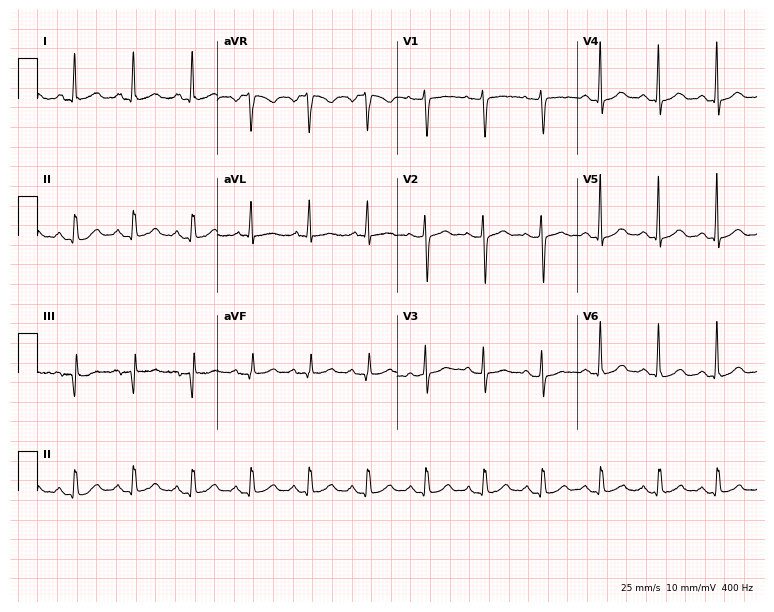
Resting 12-lead electrocardiogram. Patient: a woman, 77 years old. None of these six findings is recorded: first-degree AV block, right bundle branch block, left bundle branch block, sinus bradycardia, atrial fibrillation, sinus tachycardia. Only these six findings were labelled.